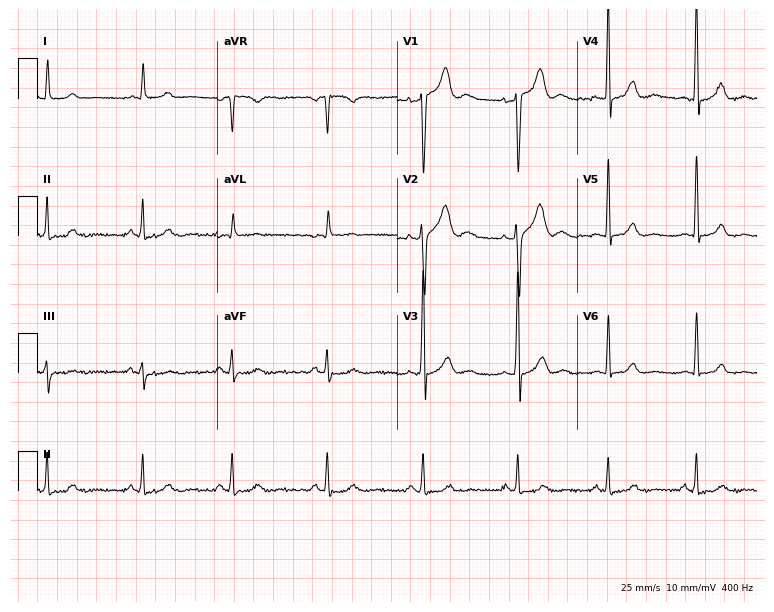
ECG — a 28-year-old male patient. Screened for six findings — first-degree AV block, right bundle branch block, left bundle branch block, sinus bradycardia, atrial fibrillation, sinus tachycardia — none is recorded. Findings outside these six are not listed.